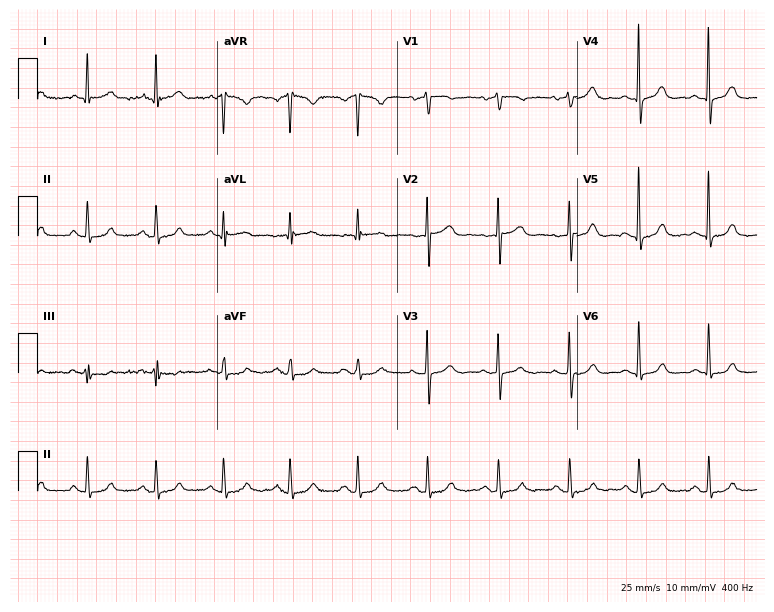
Electrocardiogram (7.3-second recording at 400 Hz), a woman, 73 years old. Overall reading on record: normal ECG.